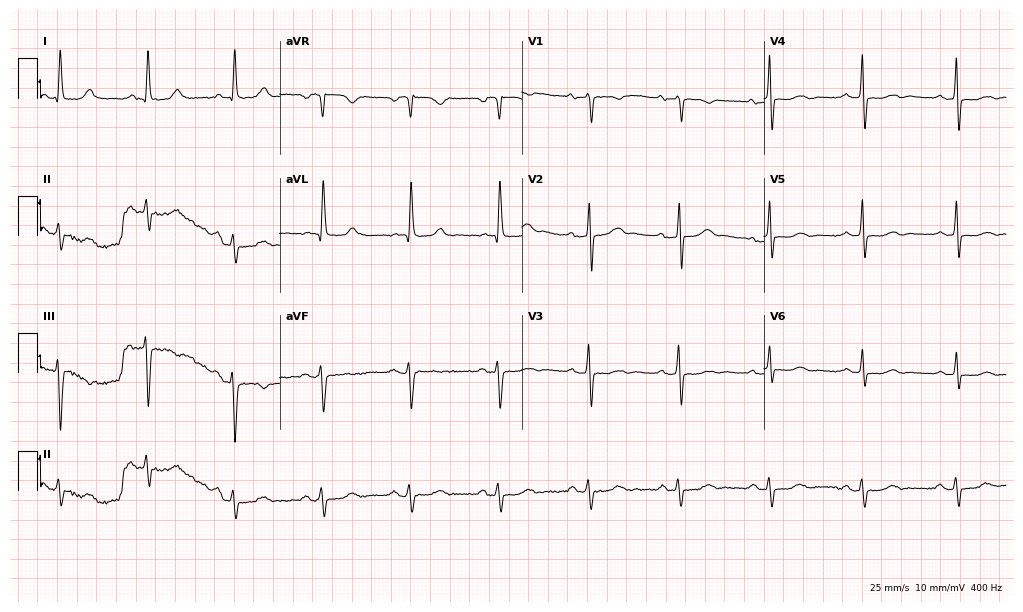
ECG — a female patient, 70 years old. Screened for six findings — first-degree AV block, right bundle branch block (RBBB), left bundle branch block (LBBB), sinus bradycardia, atrial fibrillation (AF), sinus tachycardia — none is recorded.